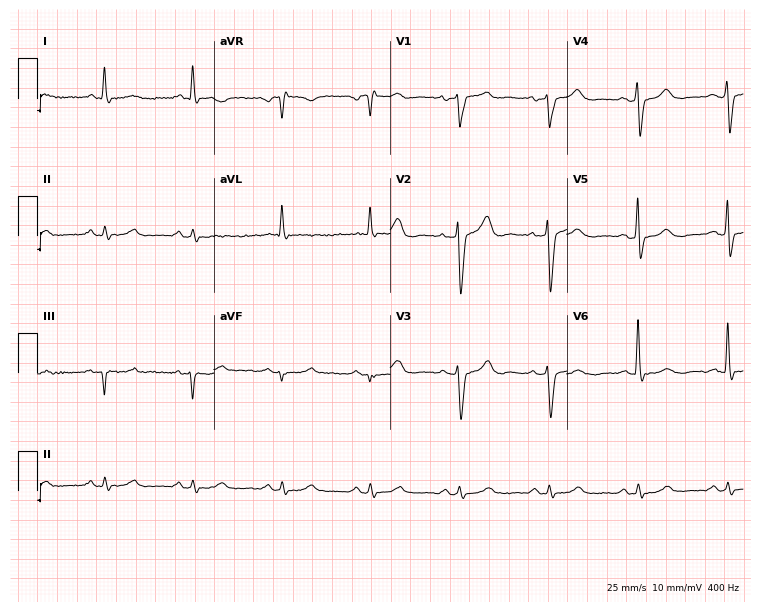
12-lead ECG from a male patient, 80 years old. No first-degree AV block, right bundle branch block, left bundle branch block, sinus bradycardia, atrial fibrillation or sinus tachycardia recorded for this tracing. Other findings, if any, are not listed.